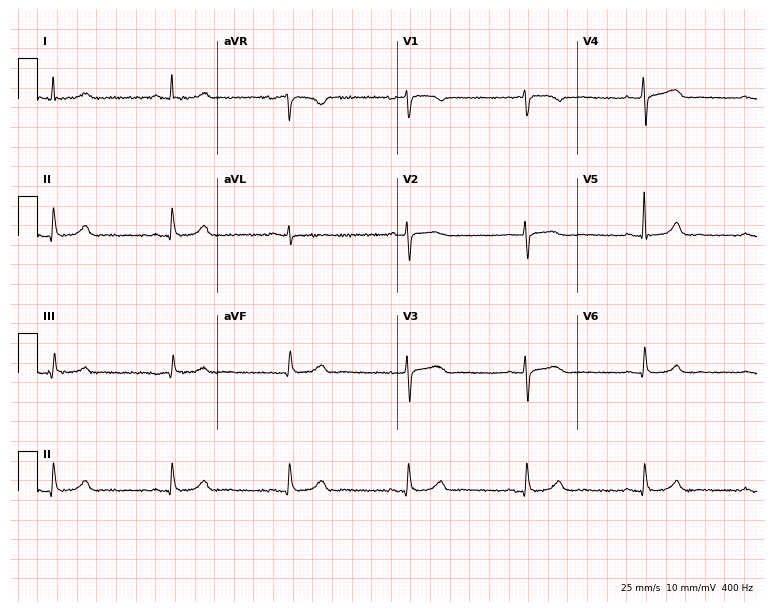
12-lead ECG from a female patient, 59 years old (7.3-second recording at 400 Hz). No first-degree AV block, right bundle branch block (RBBB), left bundle branch block (LBBB), sinus bradycardia, atrial fibrillation (AF) or sinus tachycardia recorded for this tracing.